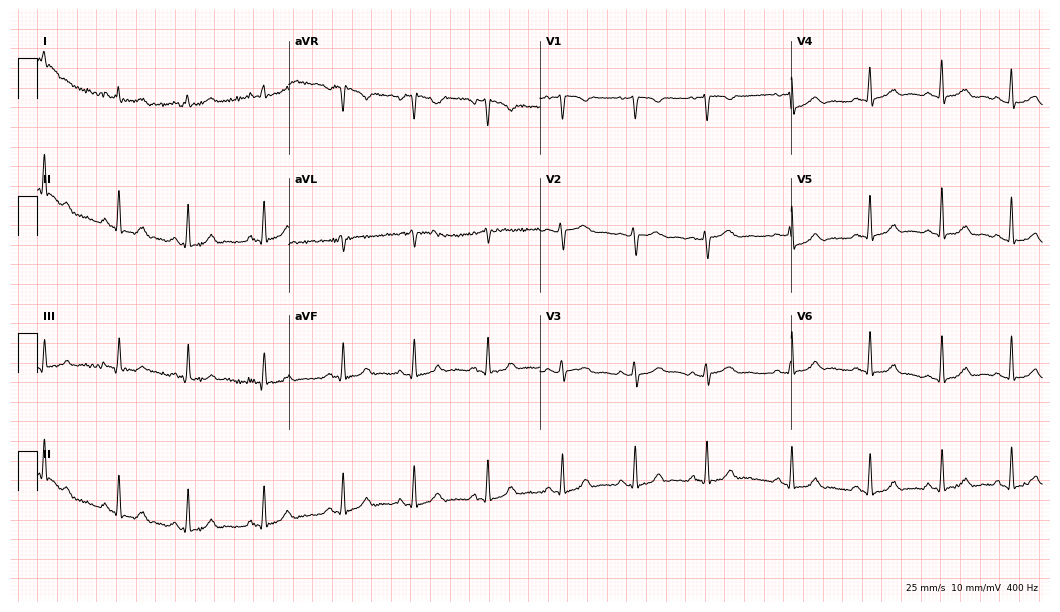
ECG (10.2-second recording at 400 Hz) — a woman, 27 years old. Labelled as a normal ECG.